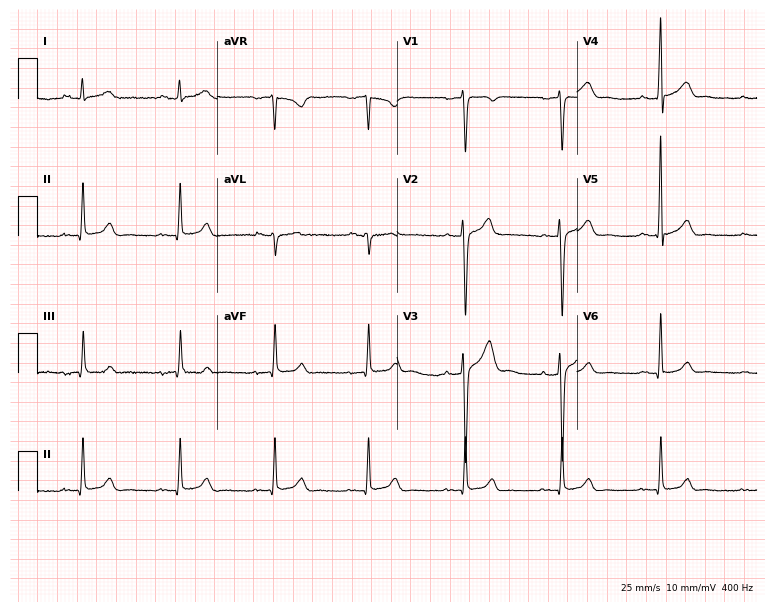
ECG — a 48-year-old male. Labelled as a normal ECG.